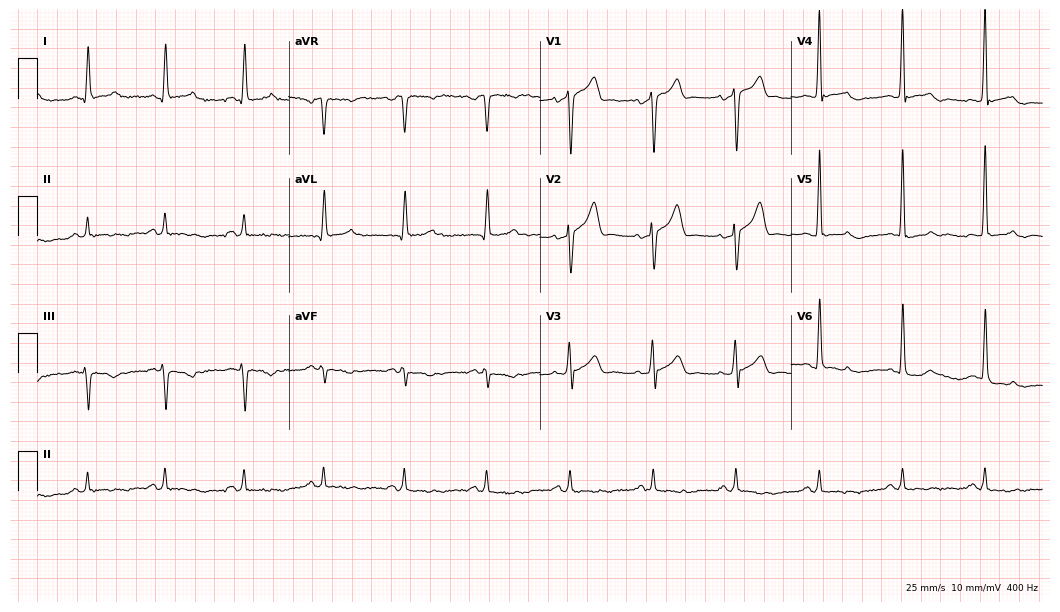
Electrocardiogram (10.2-second recording at 400 Hz), a male patient, 61 years old. Of the six screened findings (first-degree AV block, right bundle branch block, left bundle branch block, sinus bradycardia, atrial fibrillation, sinus tachycardia), none is recorded. Findings outside these six are not listed.